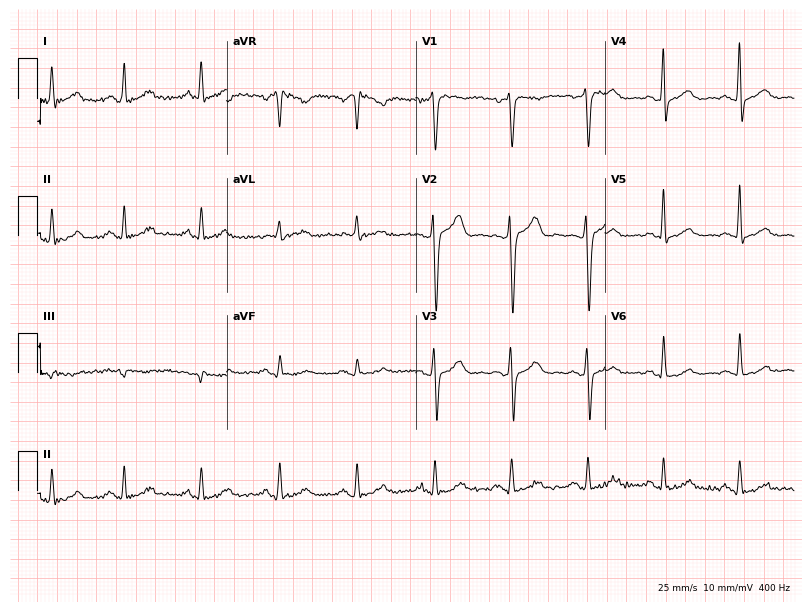
12-lead ECG (7.7-second recording at 400 Hz) from a male, 46 years old. Labelled as a normal ECG.